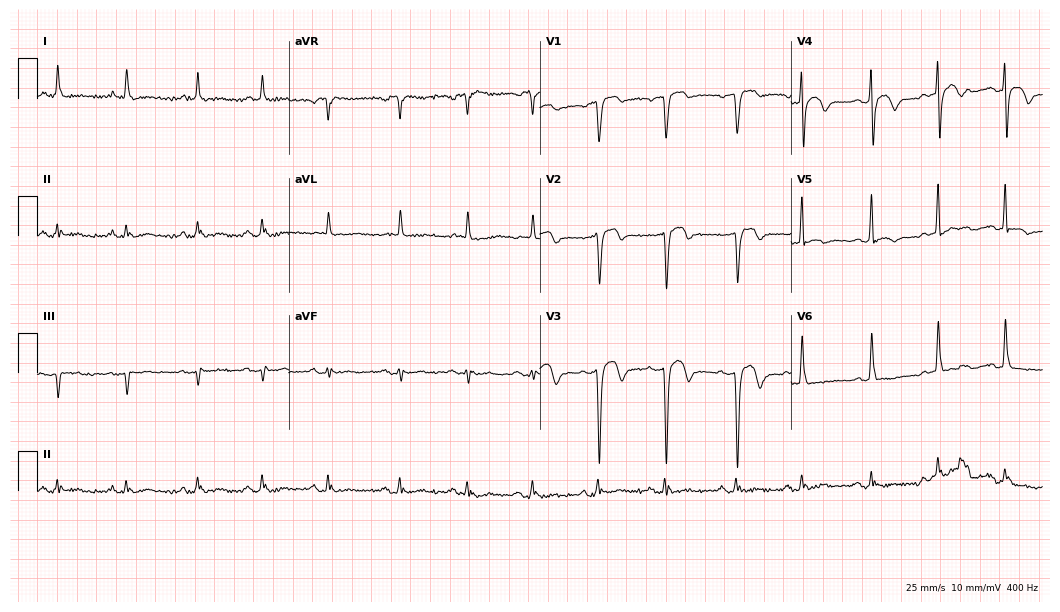
ECG (10.2-second recording at 400 Hz) — a male, 83 years old. Screened for six findings — first-degree AV block, right bundle branch block, left bundle branch block, sinus bradycardia, atrial fibrillation, sinus tachycardia — none is recorded.